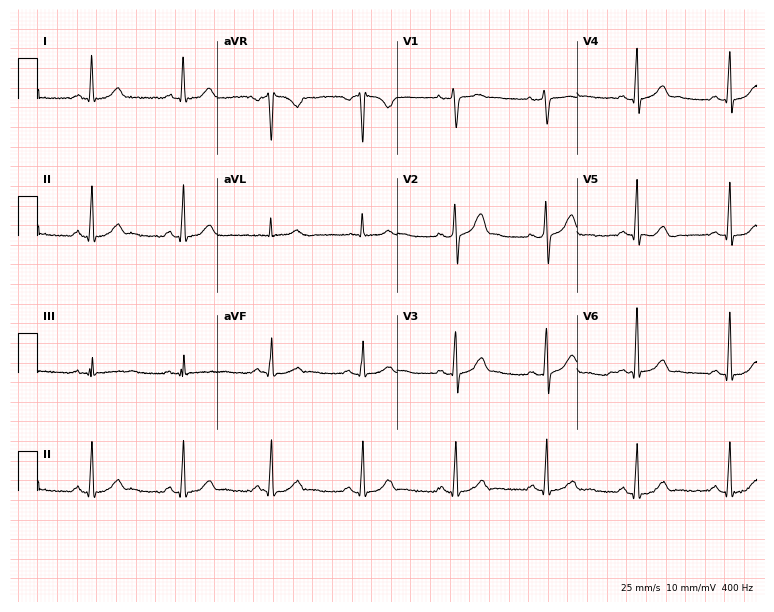
12-lead ECG from a male patient, 54 years old. Labelled as a normal ECG.